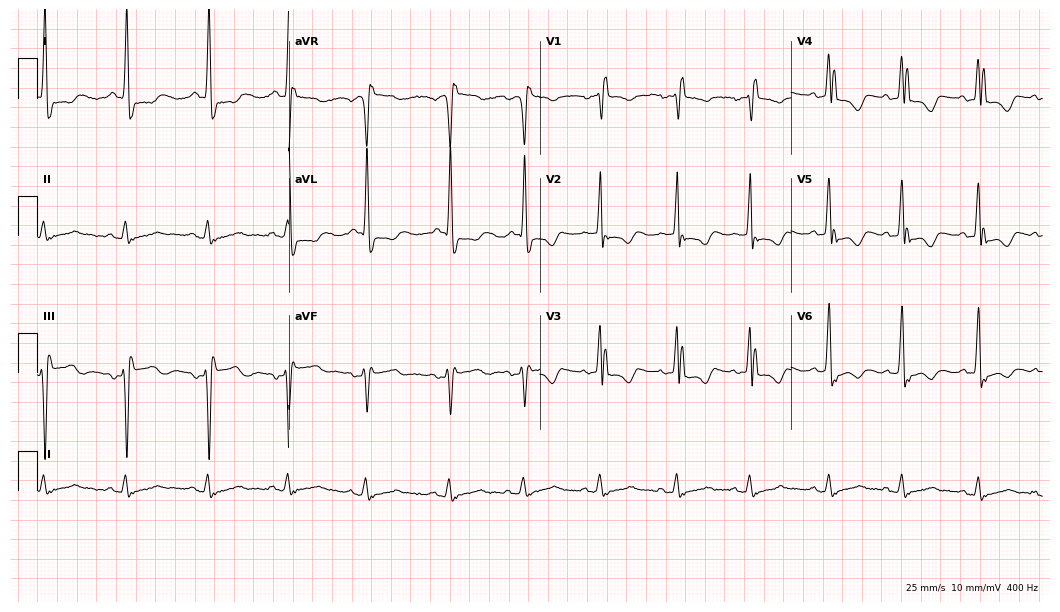
12-lead ECG from a 73-year-old female. No first-degree AV block, right bundle branch block, left bundle branch block, sinus bradycardia, atrial fibrillation or sinus tachycardia recorded for this tracing.